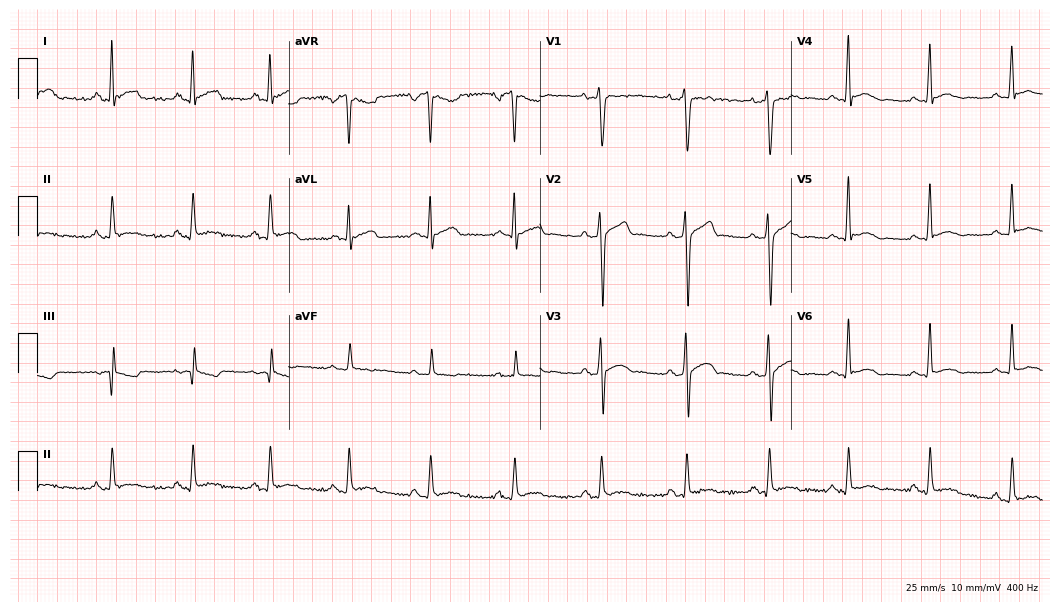
Resting 12-lead electrocardiogram (10.2-second recording at 400 Hz). Patient: a 30-year-old male. None of these six findings is recorded: first-degree AV block, right bundle branch block (RBBB), left bundle branch block (LBBB), sinus bradycardia, atrial fibrillation (AF), sinus tachycardia. Other findings, if any, are not listed.